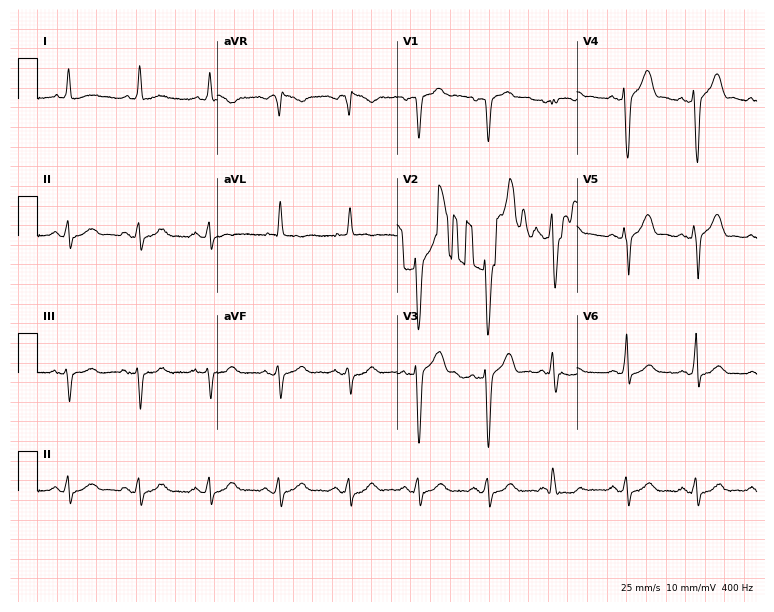
Standard 12-lead ECG recorded from a 78-year-old male (7.3-second recording at 400 Hz). None of these six findings is recorded: first-degree AV block, right bundle branch block (RBBB), left bundle branch block (LBBB), sinus bradycardia, atrial fibrillation (AF), sinus tachycardia.